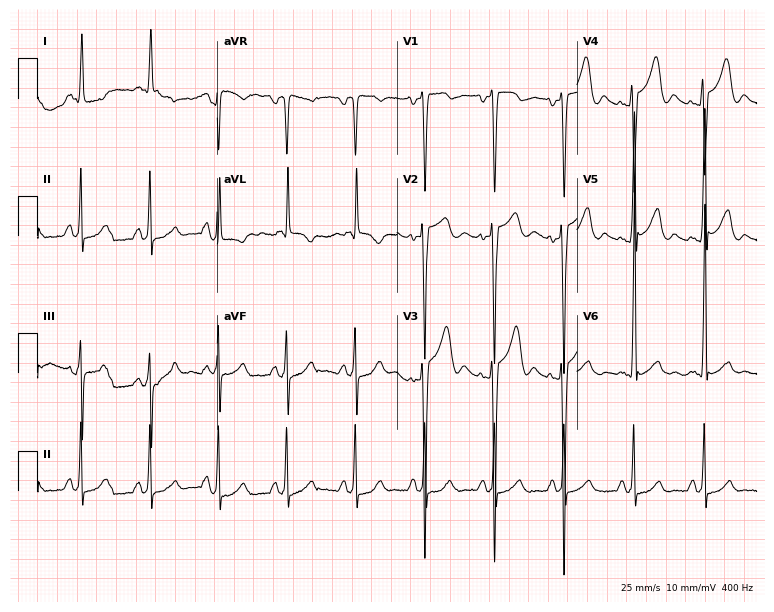
12-lead ECG from a 52-year-old man (7.3-second recording at 400 Hz). No first-degree AV block, right bundle branch block (RBBB), left bundle branch block (LBBB), sinus bradycardia, atrial fibrillation (AF) or sinus tachycardia recorded for this tracing.